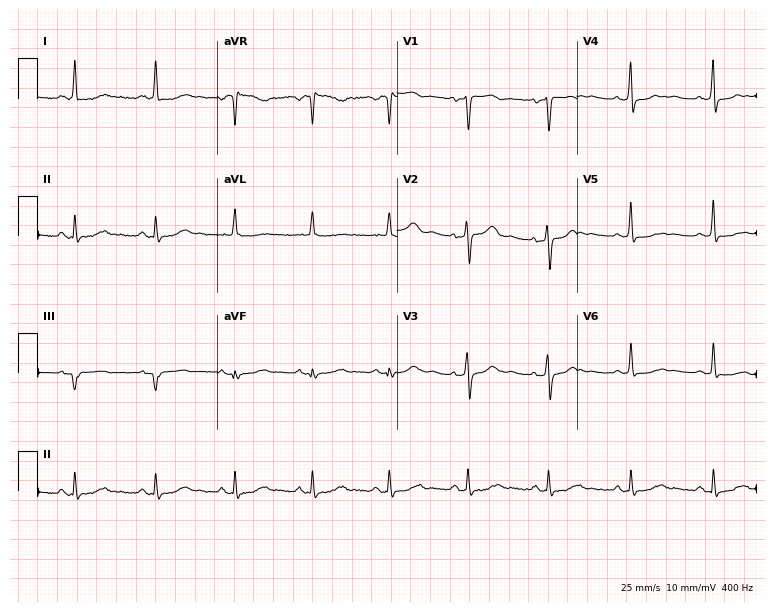
12-lead ECG from a female, 56 years old (7.3-second recording at 400 Hz). No first-degree AV block, right bundle branch block (RBBB), left bundle branch block (LBBB), sinus bradycardia, atrial fibrillation (AF) or sinus tachycardia recorded for this tracing. Other findings, if any, are not listed.